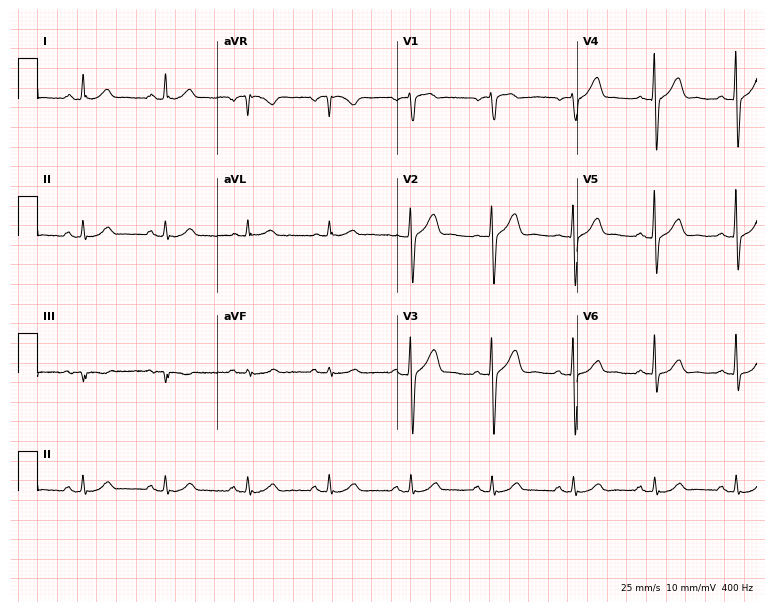
Electrocardiogram (7.3-second recording at 400 Hz), a 71-year-old man. Overall reading on record: normal ECG.